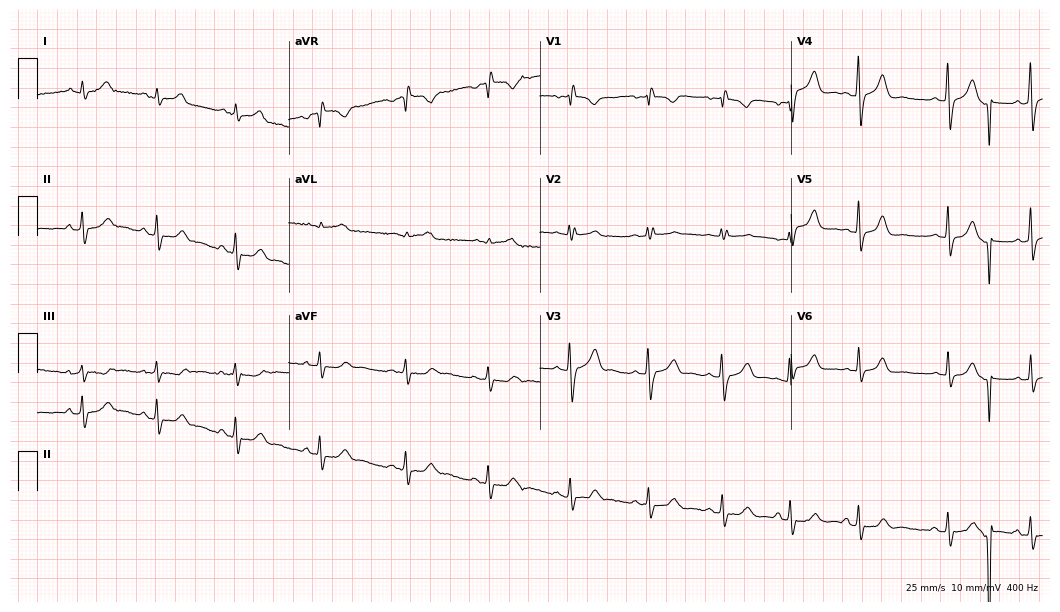
Resting 12-lead electrocardiogram. Patient: a woman, 32 years old. None of these six findings is recorded: first-degree AV block, right bundle branch block, left bundle branch block, sinus bradycardia, atrial fibrillation, sinus tachycardia. Only these six findings were labelled.